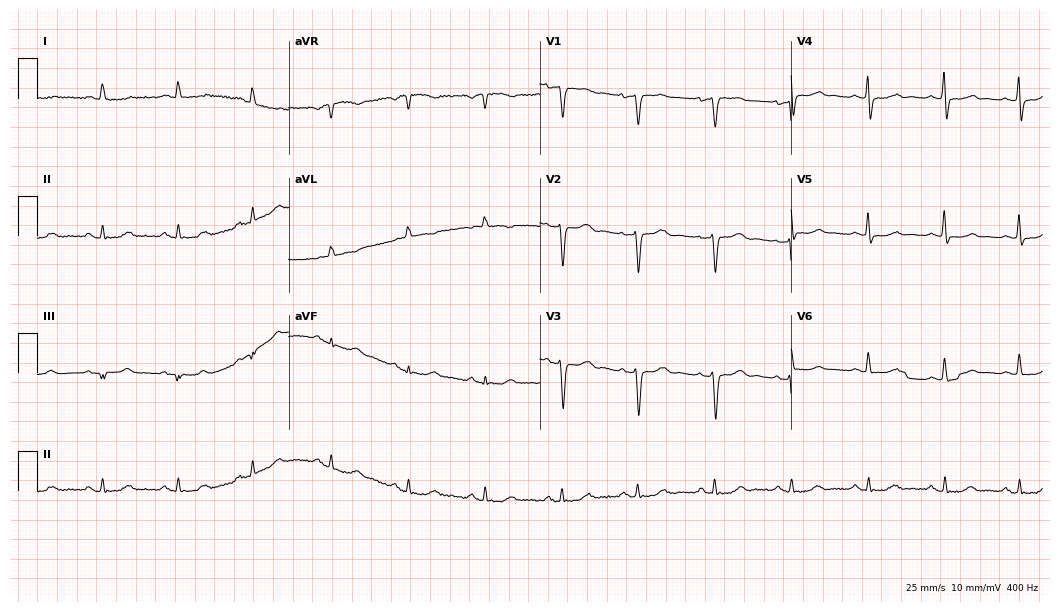
Resting 12-lead electrocardiogram (10.2-second recording at 400 Hz). Patient: a female, 75 years old. Read as a normal ECG.